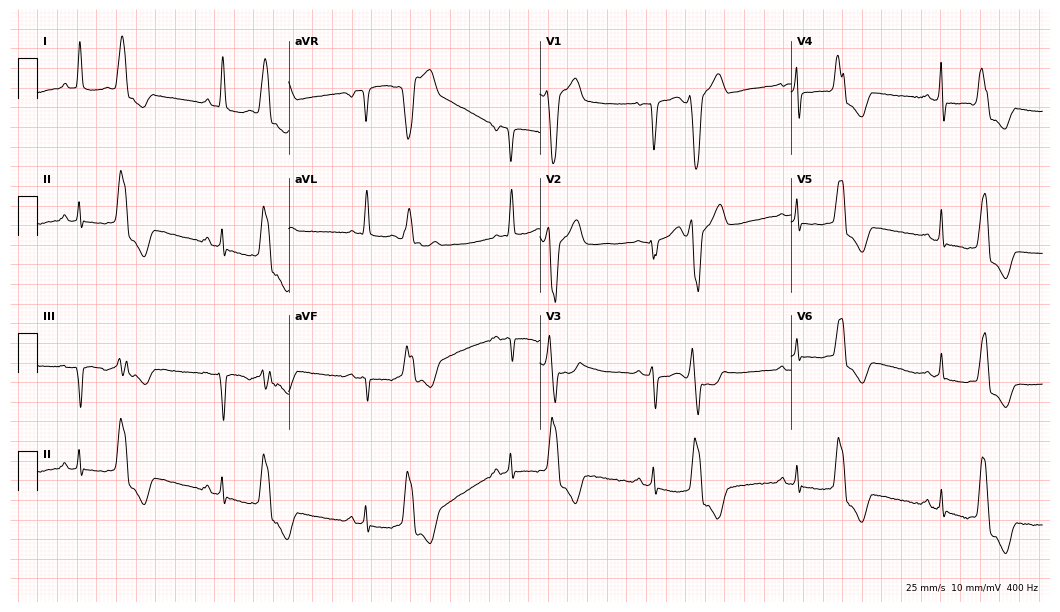
Standard 12-lead ECG recorded from a 52-year-old woman (10.2-second recording at 400 Hz). None of these six findings is recorded: first-degree AV block, right bundle branch block, left bundle branch block, sinus bradycardia, atrial fibrillation, sinus tachycardia. Findings outside these six are not listed.